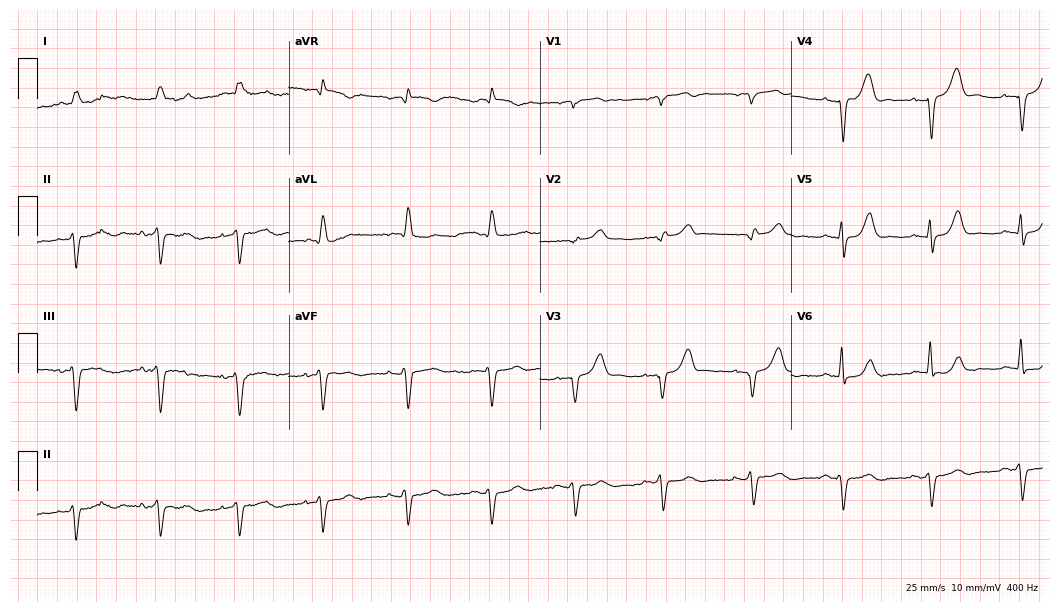
Electrocardiogram (10.2-second recording at 400 Hz), a 76-year-old male patient. Of the six screened findings (first-degree AV block, right bundle branch block (RBBB), left bundle branch block (LBBB), sinus bradycardia, atrial fibrillation (AF), sinus tachycardia), none is recorded. Findings outside these six are not listed.